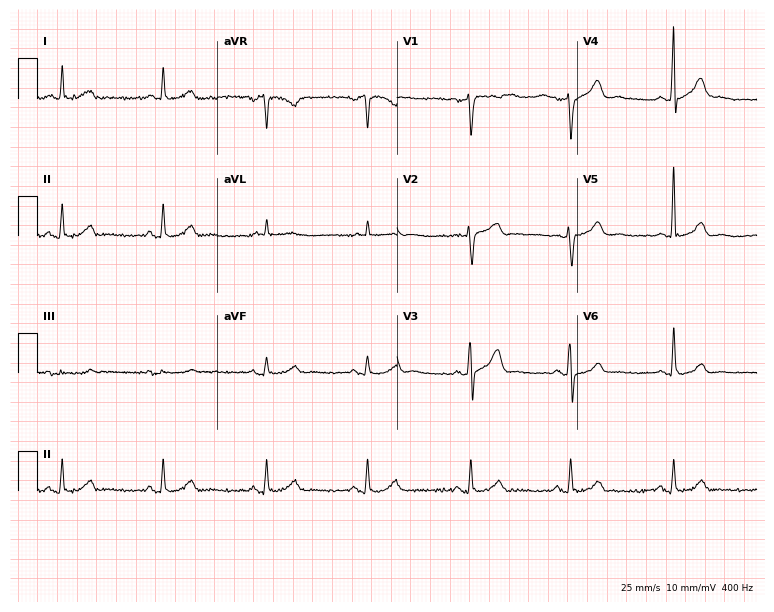
12-lead ECG from a 59-year-old man. Labelled as a normal ECG.